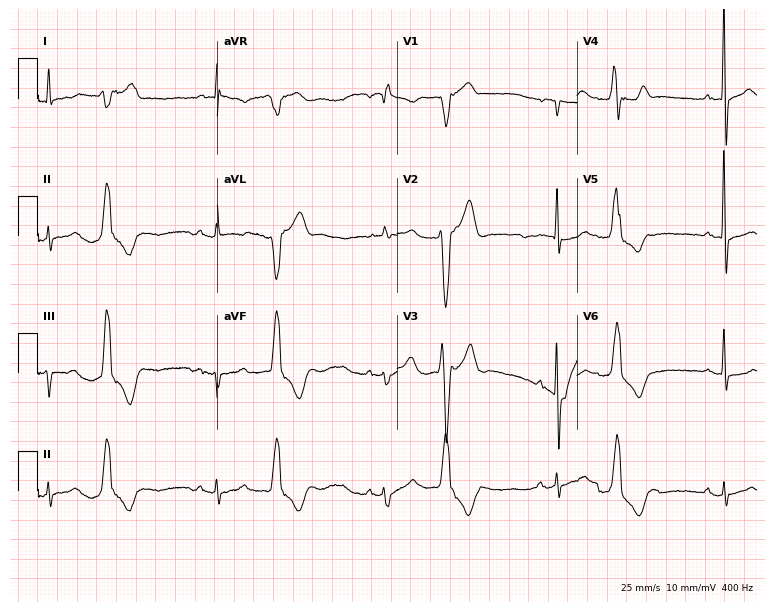
Standard 12-lead ECG recorded from a 78-year-old male patient (7.3-second recording at 400 Hz). Read as a normal ECG.